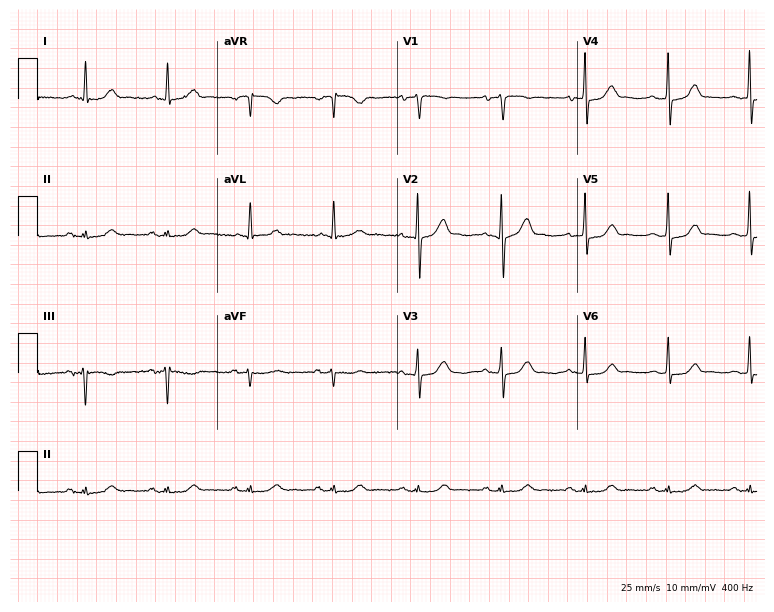
12-lead ECG from a 68-year-old man. Recorded interpretation: within normal limits.